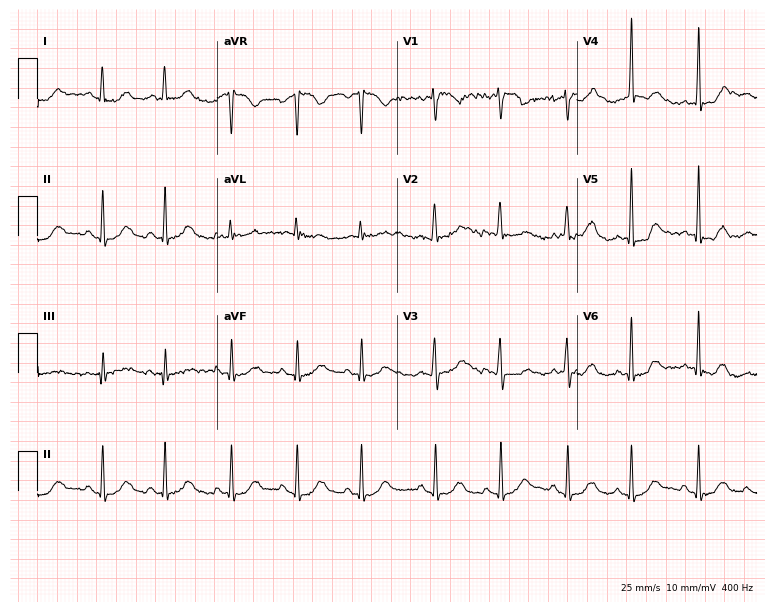
ECG — a female, 17 years old. Labelled as a normal ECG.